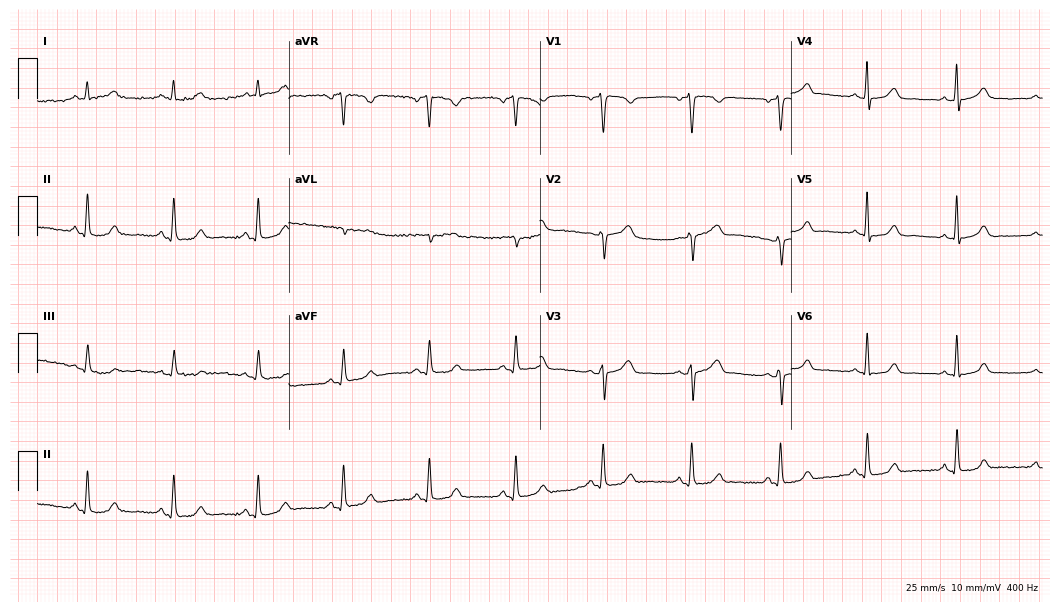
12-lead ECG from a 47-year-old female. Recorded interpretation: within normal limits.